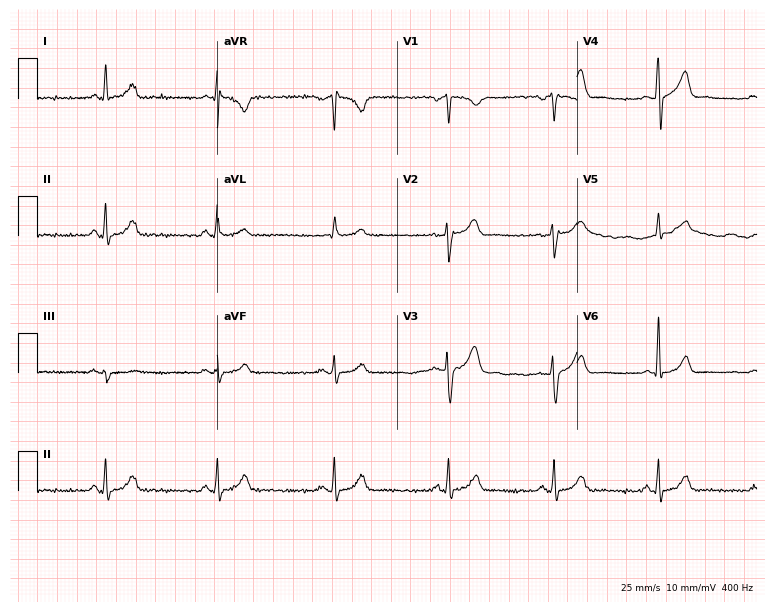
ECG (7.3-second recording at 400 Hz) — a male patient, 52 years old. Screened for six findings — first-degree AV block, right bundle branch block, left bundle branch block, sinus bradycardia, atrial fibrillation, sinus tachycardia — none is recorded.